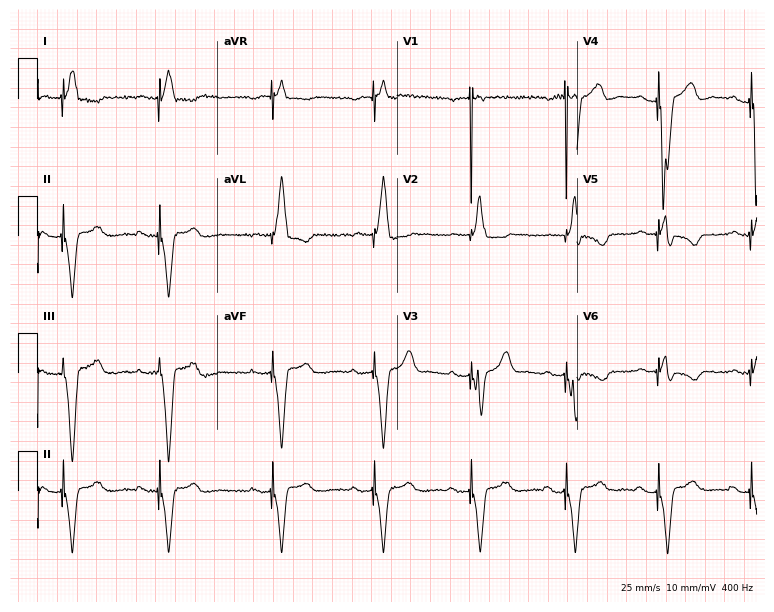
Electrocardiogram (7.3-second recording at 400 Hz), a woman, 76 years old. Of the six screened findings (first-degree AV block, right bundle branch block (RBBB), left bundle branch block (LBBB), sinus bradycardia, atrial fibrillation (AF), sinus tachycardia), none is recorded. Findings outside these six are not listed.